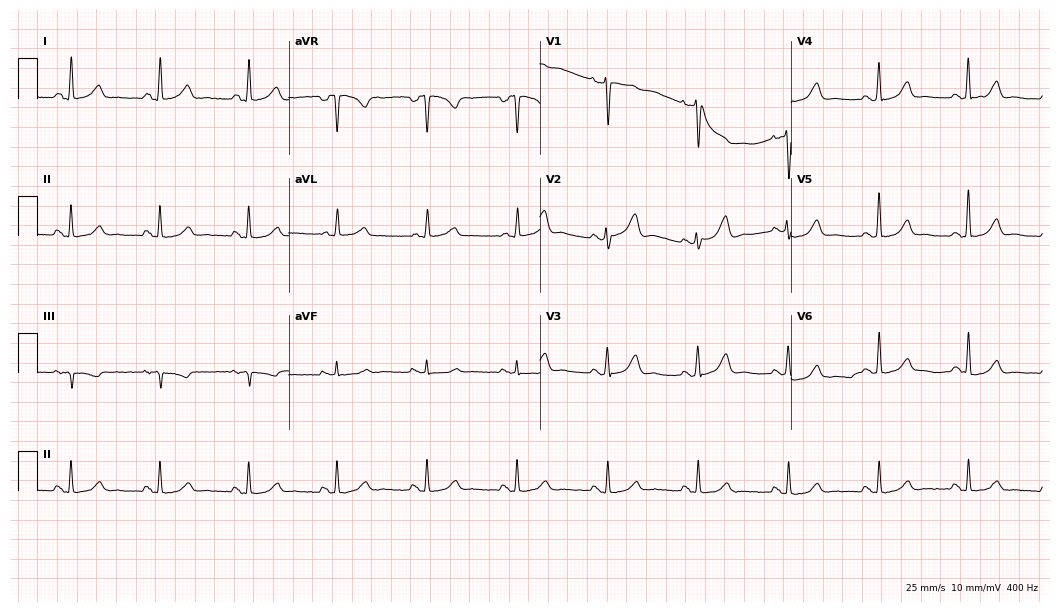
Electrocardiogram (10.2-second recording at 400 Hz), a female, 53 years old. Overall reading on record: normal ECG.